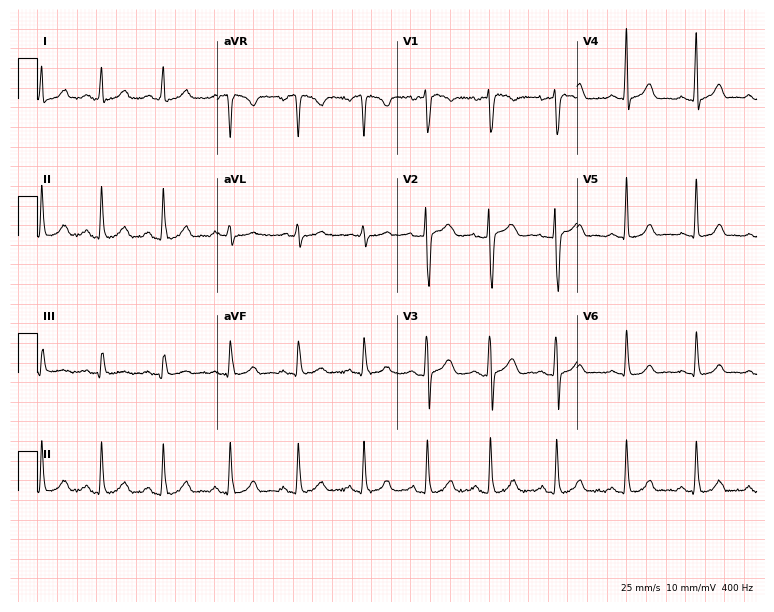
Standard 12-lead ECG recorded from a female patient, 21 years old. Read as a normal ECG.